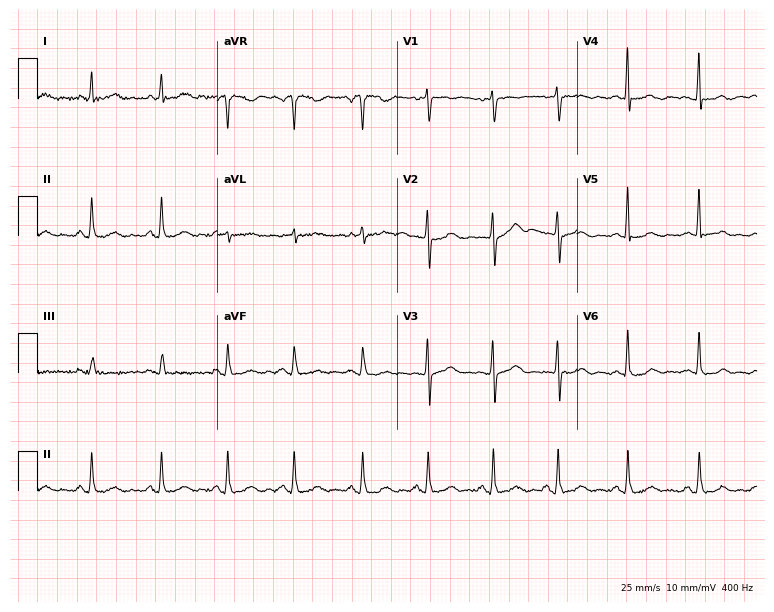
12-lead ECG (7.3-second recording at 400 Hz) from a 32-year-old female patient. Labelled as a normal ECG.